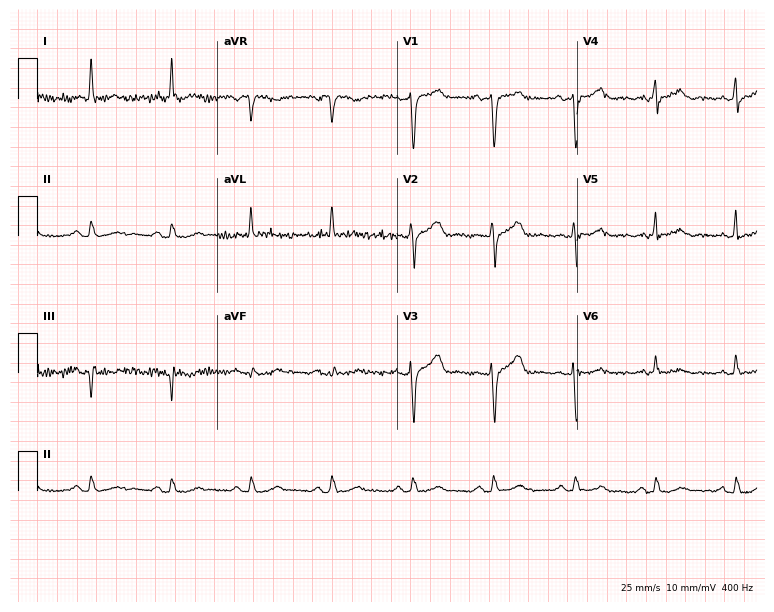
Standard 12-lead ECG recorded from a man, 79 years old (7.3-second recording at 400 Hz). Read as a normal ECG.